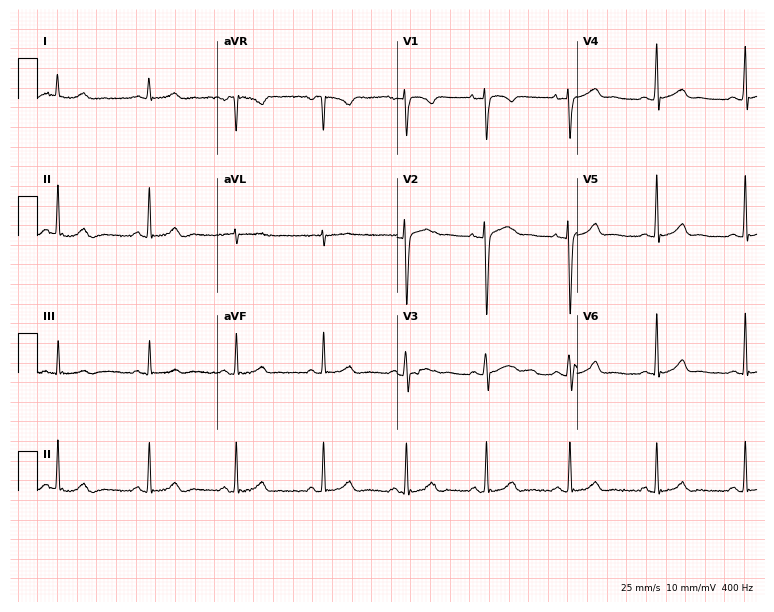
Standard 12-lead ECG recorded from a female patient, 22 years old (7.3-second recording at 400 Hz). Read as a normal ECG.